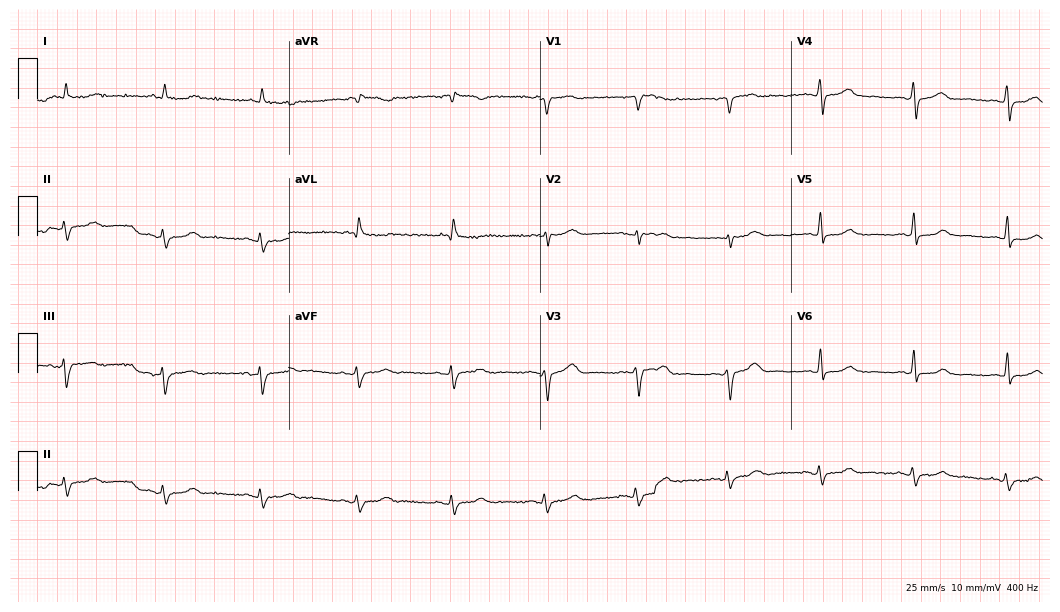
ECG — a 69-year-old male patient. Screened for six findings — first-degree AV block, right bundle branch block (RBBB), left bundle branch block (LBBB), sinus bradycardia, atrial fibrillation (AF), sinus tachycardia — none is recorded. Other findings, if any, are not listed.